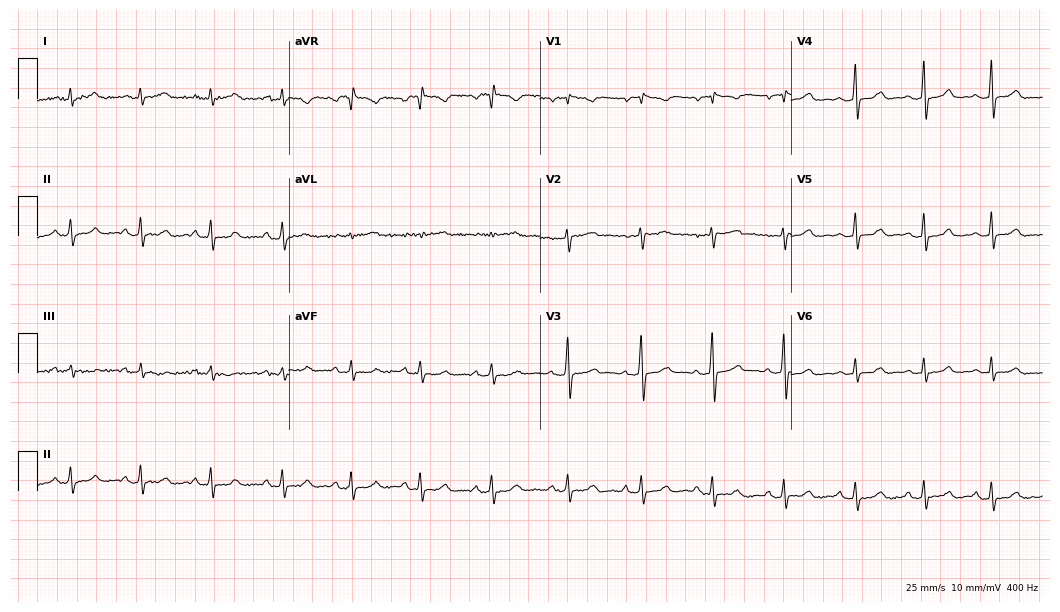
ECG — a 27-year-old female. Screened for six findings — first-degree AV block, right bundle branch block (RBBB), left bundle branch block (LBBB), sinus bradycardia, atrial fibrillation (AF), sinus tachycardia — none is recorded. Other findings, if any, are not listed.